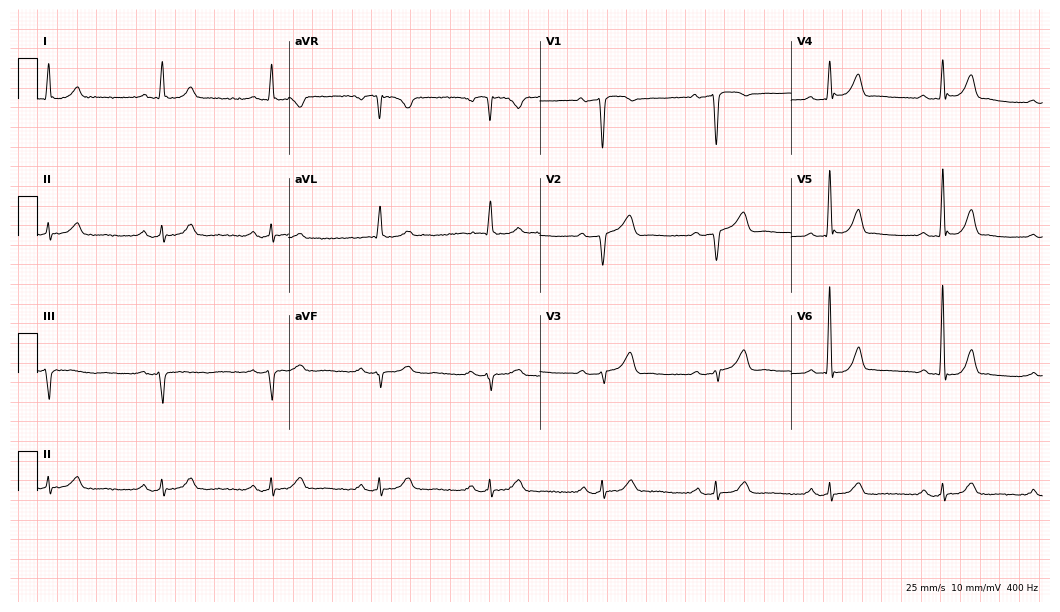
Resting 12-lead electrocardiogram. Patient: a 64-year-old male. The tracing shows first-degree AV block.